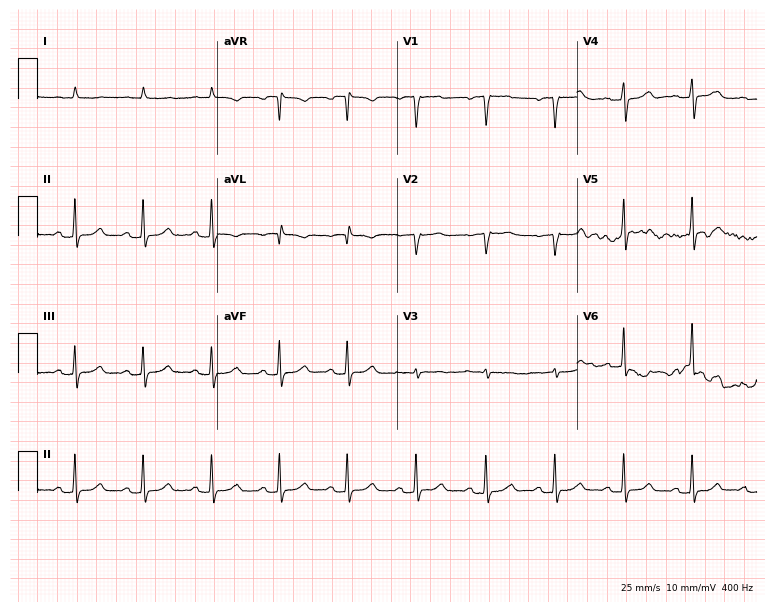
12-lead ECG from a male, 57 years old. Recorded interpretation: within normal limits.